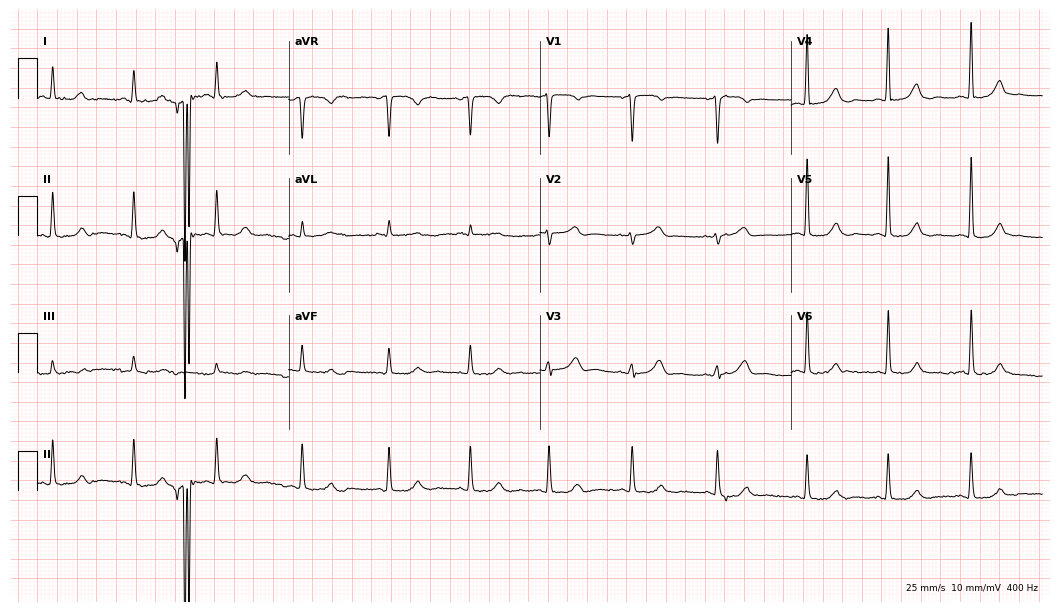
ECG (10.2-second recording at 400 Hz) — a 71-year-old female. Screened for six findings — first-degree AV block, right bundle branch block, left bundle branch block, sinus bradycardia, atrial fibrillation, sinus tachycardia — none is recorded.